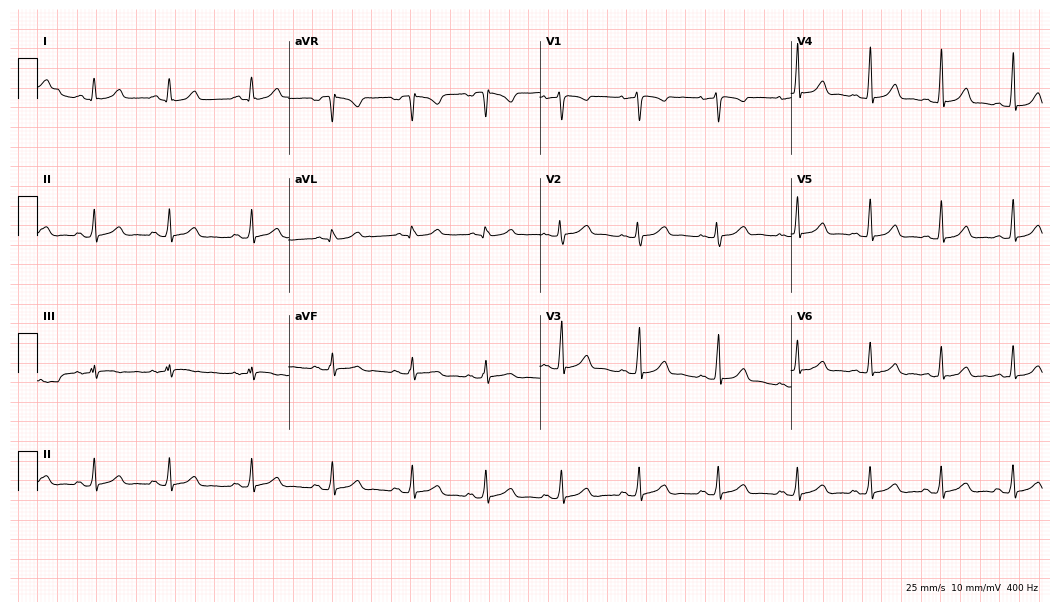
Standard 12-lead ECG recorded from a 28-year-old woman (10.2-second recording at 400 Hz). Read as a normal ECG.